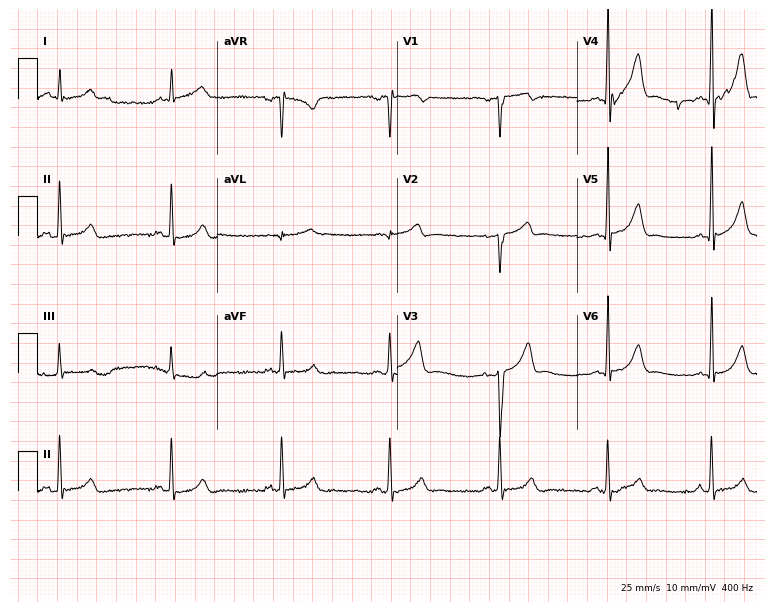
12-lead ECG from a male patient, 59 years old. Screened for six findings — first-degree AV block, right bundle branch block (RBBB), left bundle branch block (LBBB), sinus bradycardia, atrial fibrillation (AF), sinus tachycardia — none is recorded. Findings outside these six are not listed.